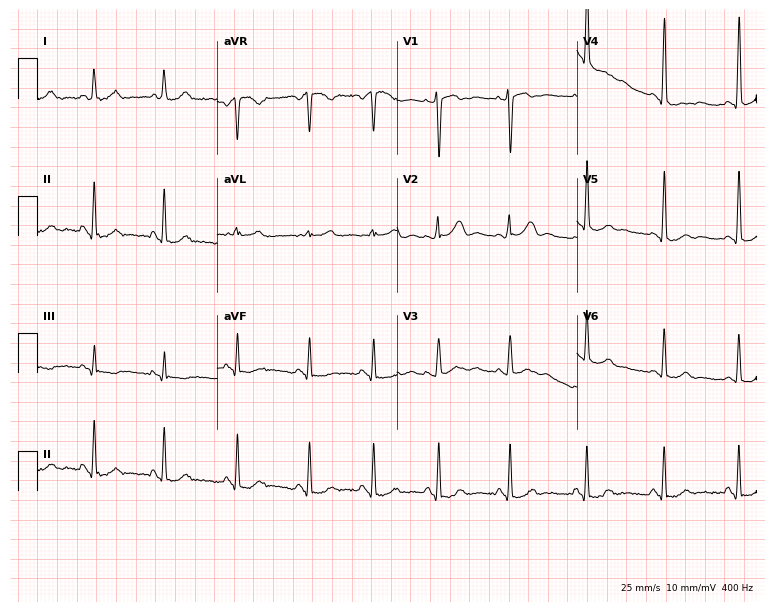
12-lead ECG (7.3-second recording at 400 Hz) from a woman, 33 years old. Screened for six findings — first-degree AV block, right bundle branch block, left bundle branch block, sinus bradycardia, atrial fibrillation, sinus tachycardia — none is recorded.